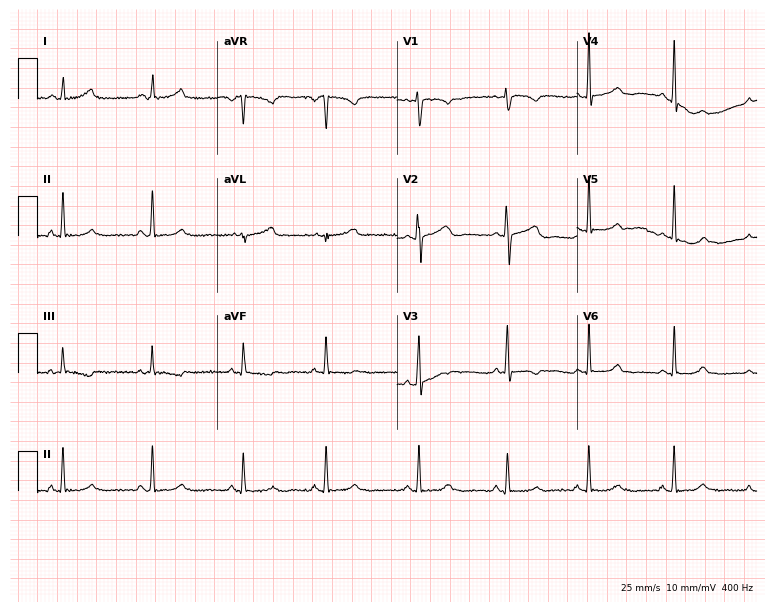
12-lead ECG from a female, 29 years old. Screened for six findings — first-degree AV block, right bundle branch block, left bundle branch block, sinus bradycardia, atrial fibrillation, sinus tachycardia — none is recorded. Only these six findings were labelled.